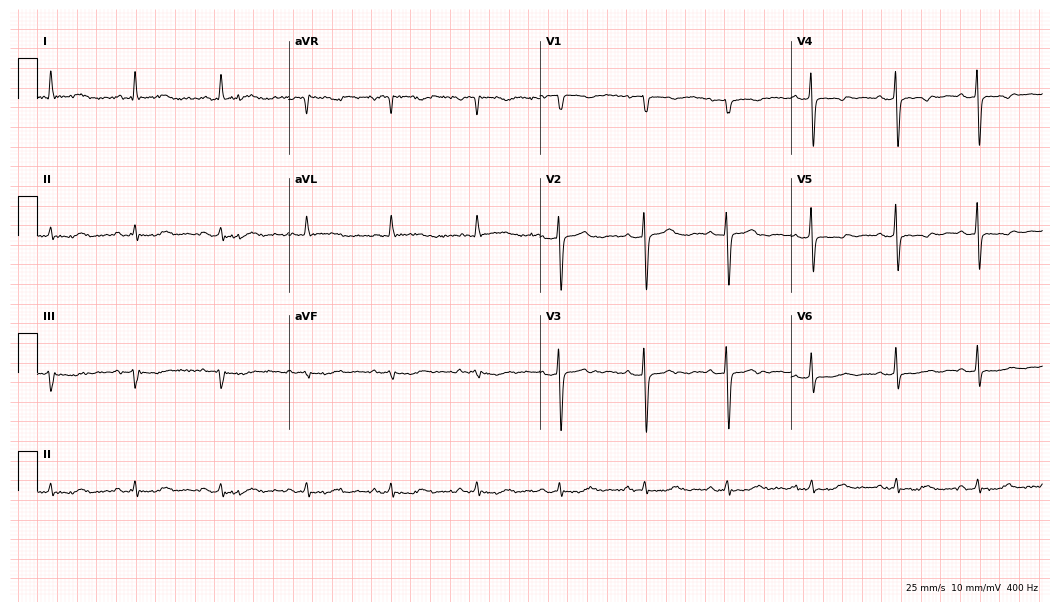
Standard 12-lead ECG recorded from a woman, 74 years old. None of these six findings is recorded: first-degree AV block, right bundle branch block (RBBB), left bundle branch block (LBBB), sinus bradycardia, atrial fibrillation (AF), sinus tachycardia.